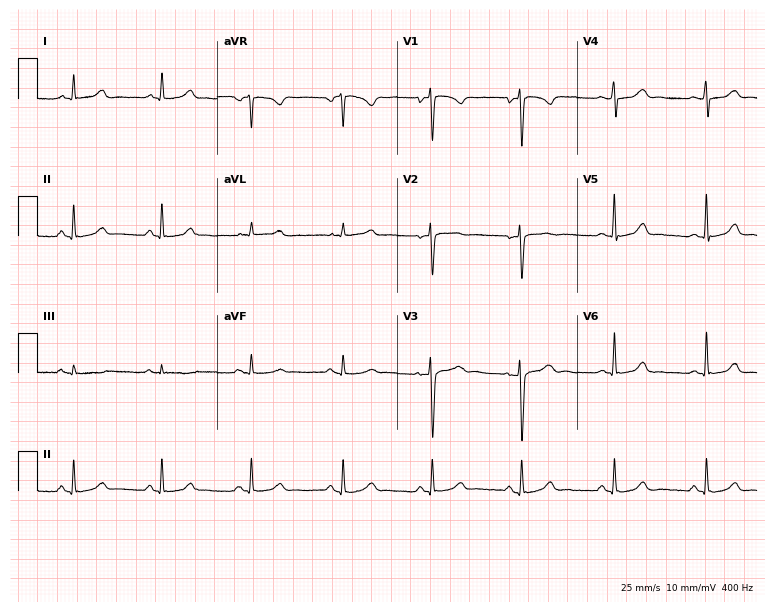
ECG (7.3-second recording at 400 Hz) — a 44-year-old female patient. Labelled as a normal ECG.